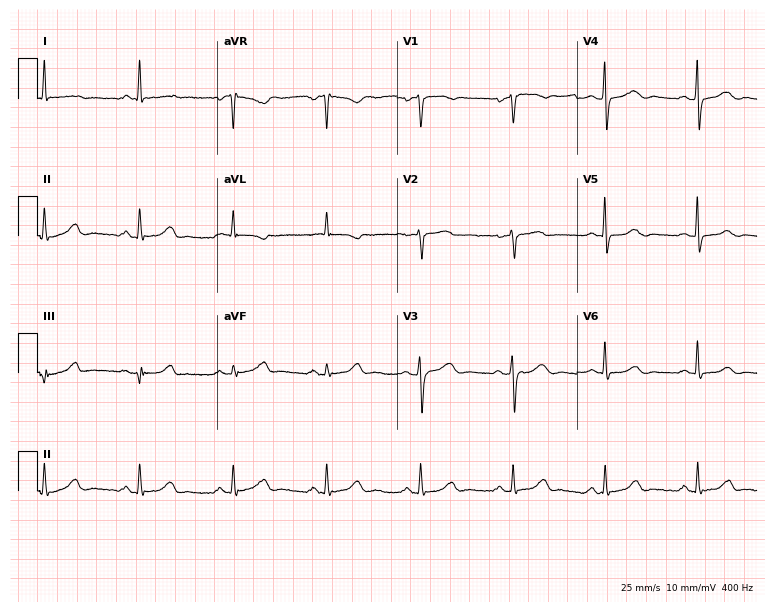
12-lead ECG from a female patient, 56 years old. No first-degree AV block, right bundle branch block, left bundle branch block, sinus bradycardia, atrial fibrillation or sinus tachycardia recorded for this tracing.